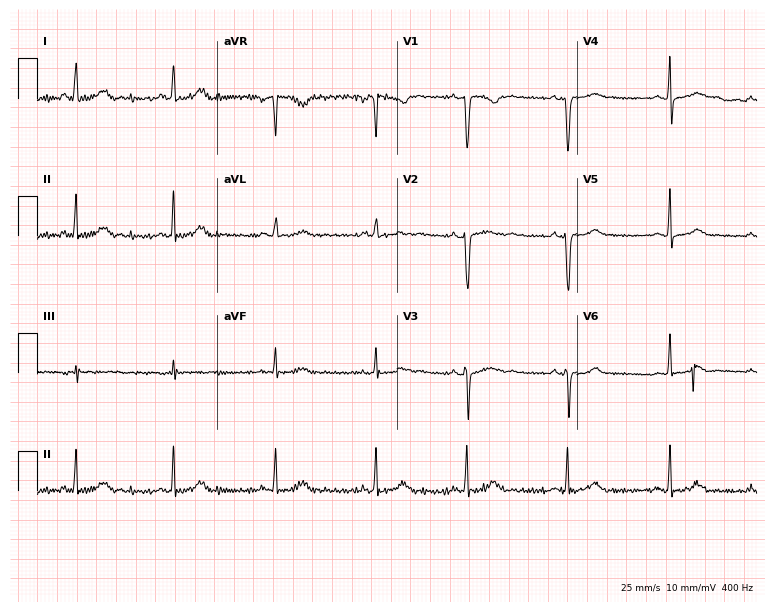
12-lead ECG from a 24-year-old female. Screened for six findings — first-degree AV block, right bundle branch block (RBBB), left bundle branch block (LBBB), sinus bradycardia, atrial fibrillation (AF), sinus tachycardia — none is recorded.